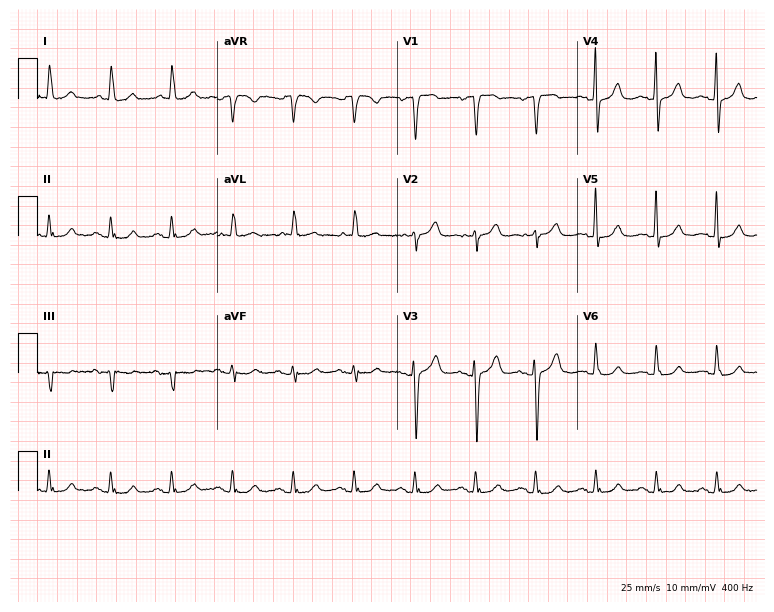
Resting 12-lead electrocardiogram (7.3-second recording at 400 Hz). Patient: a woman, 71 years old. None of these six findings is recorded: first-degree AV block, right bundle branch block, left bundle branch block, sinus bradycardia, atrial fibrillation, sinus tachycardia. Only these six findings were labelled.